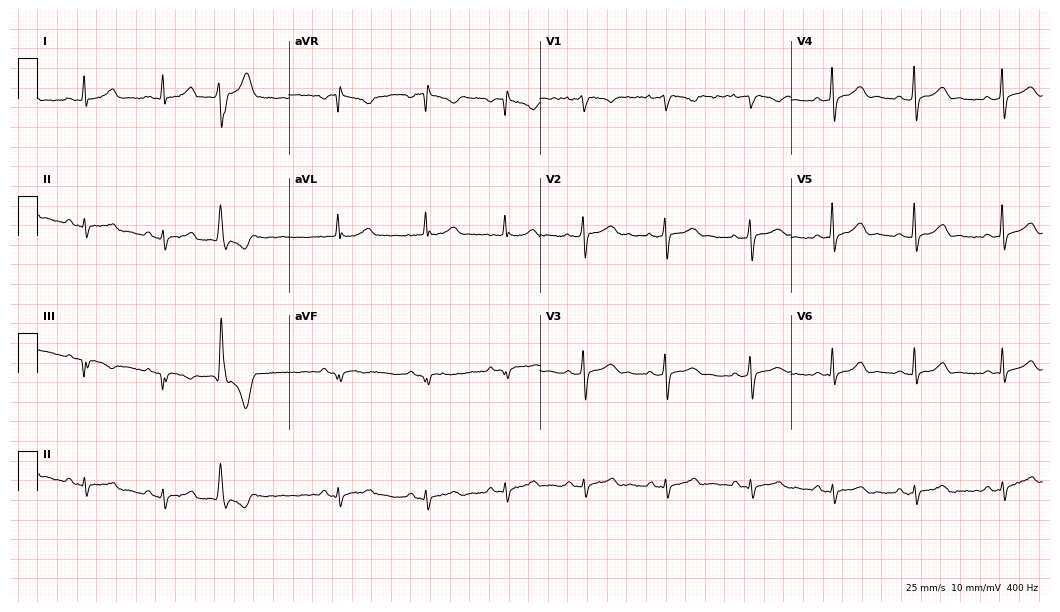
Resting 12-lead electrocardiogram. Patient: a 30-year-old woman. None of these six findings is recorded: first-degree AV block, right bundle branch block (RBBB), left bundle branch block (LBBB), sinus bradycardia, atrial fibrillation (AF), sinus tachycardia.